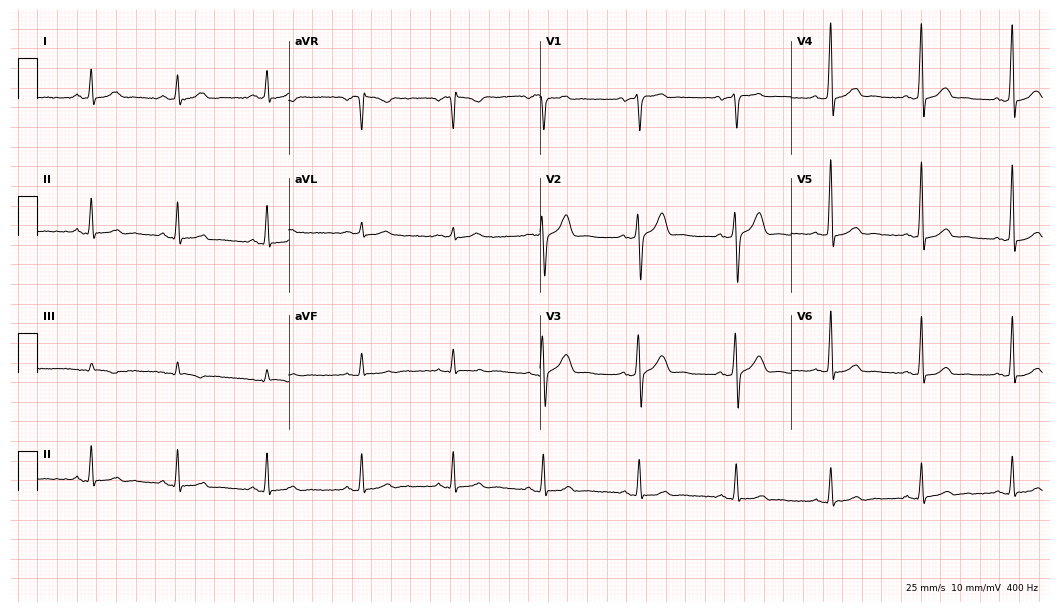
12-lead ECG from a 48-year-old male. Recorded interpretation: within normal limits.